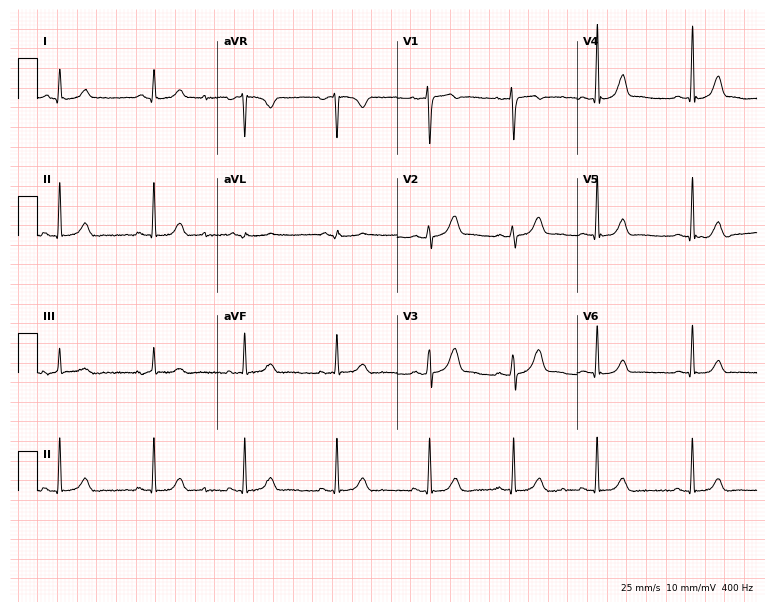
Resting 12-lead electrocardiogram. Patient: a woman, 28 years old. None of these six findings is recorded: first-degree AV block, right bundle branch block, left bundle branch block, sinus bradycardia, atrial fibrillation, sinus tachycardia. Findings outside these six are not listed.